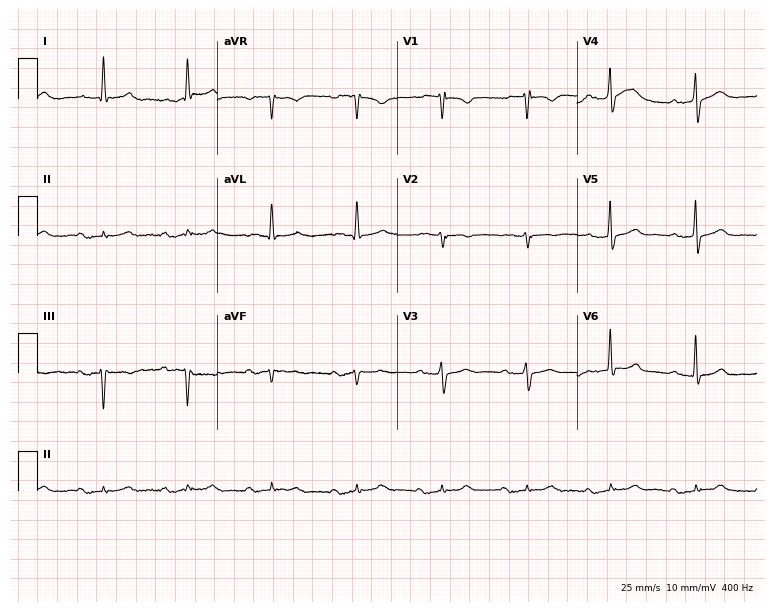
Standard 12-lead ECG recorded from a male, 75 years old (7.3-second recording at 400 Hz). The tracing shows first-degree AV block.